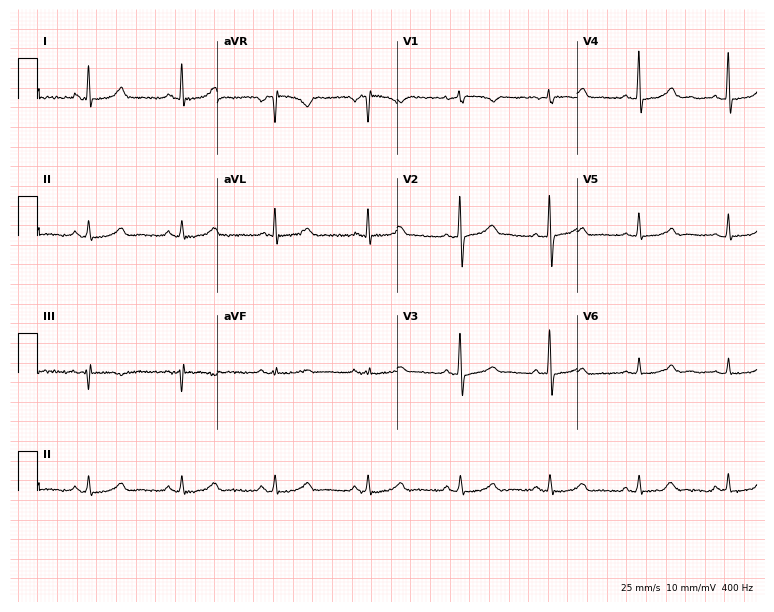
Electrocardiogram, a 57-year-old female. Overall reading on record: normal ECG.